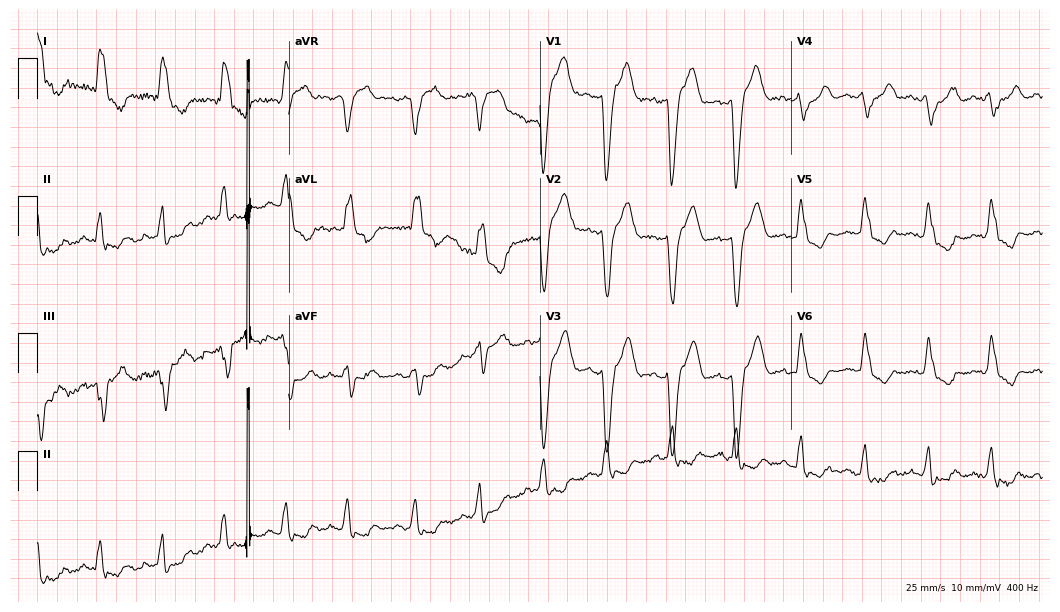
Resting 12-lead electrocardiogram. Patient: a woman, 85 years old. None of these six findings is recorded: first-degree AV block, right bundle branch block (RBBB), left bundle branch block (LBBB), sinus bradycardia, atrial fibrillation (AF), sinus tachycardia.